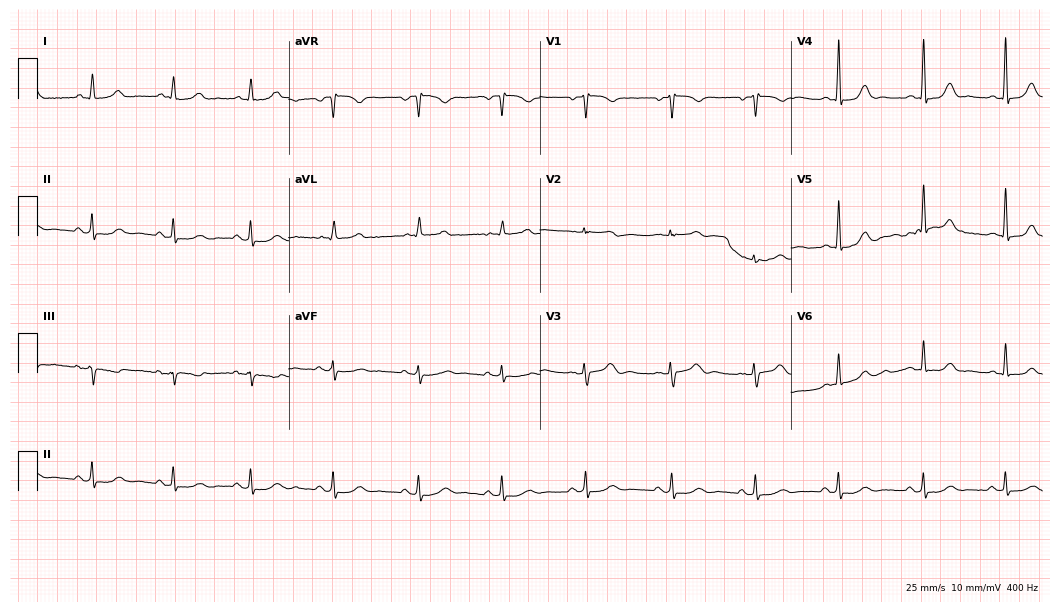
Resting 12-lead electrocardiogram. Patient: a female, 45 years old. None of these six findings is recorded: first-degree AV block, right bundle branch block, left bundle branch block, sinus bradycardia, atrial fibrillation, sinus tachycardia.